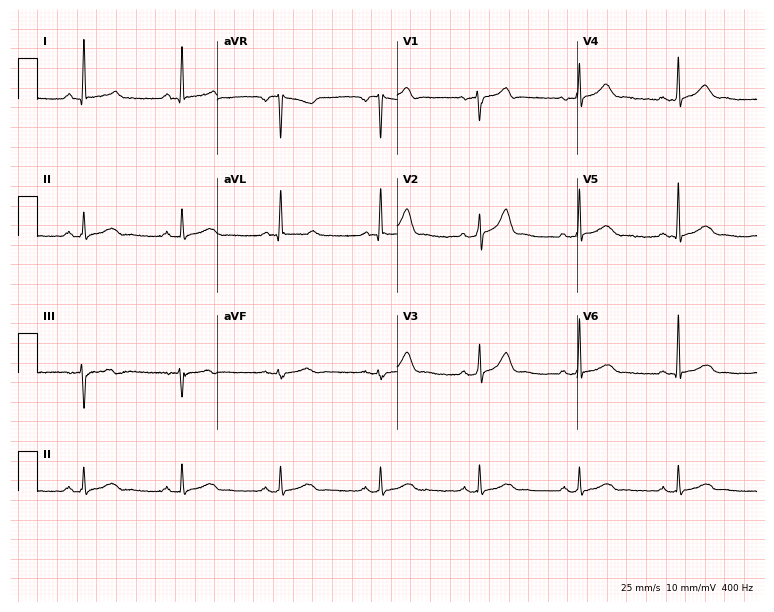
12-lead ECG (7.3-second recording at 400 Hz) from a 56-year-old male patient. Screened for six findings — first-degree AV block, right bundle branch block, left bundle branch block, sinus bradycardia, atrial fibrillation, sinus tachycardia — none is recorded.